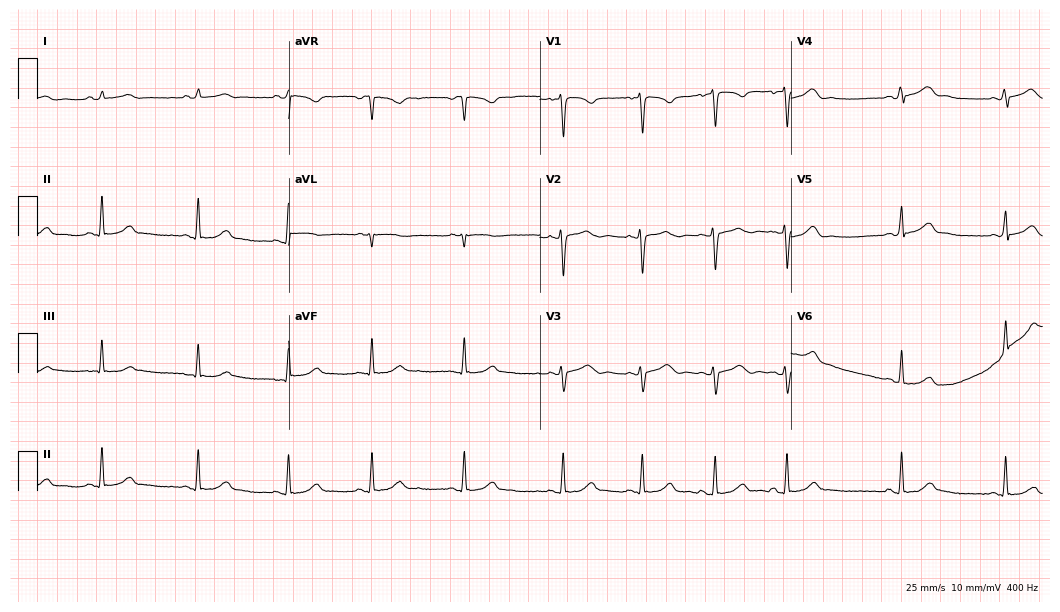
Resting 12-lead electrocardiogram. Patient: a female, 18 years old. Read as a normal ECG.